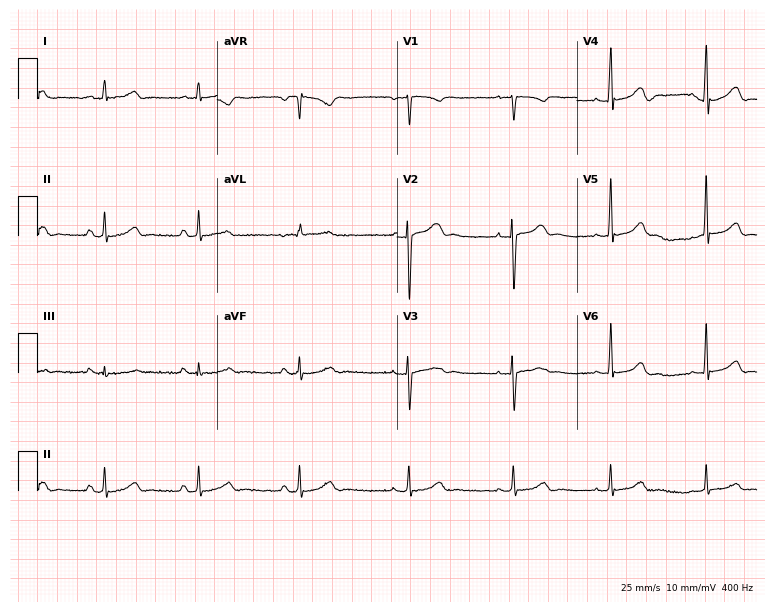
12-lead ECG from a female, 29 years old. Recorded interpretation: within normal limits.